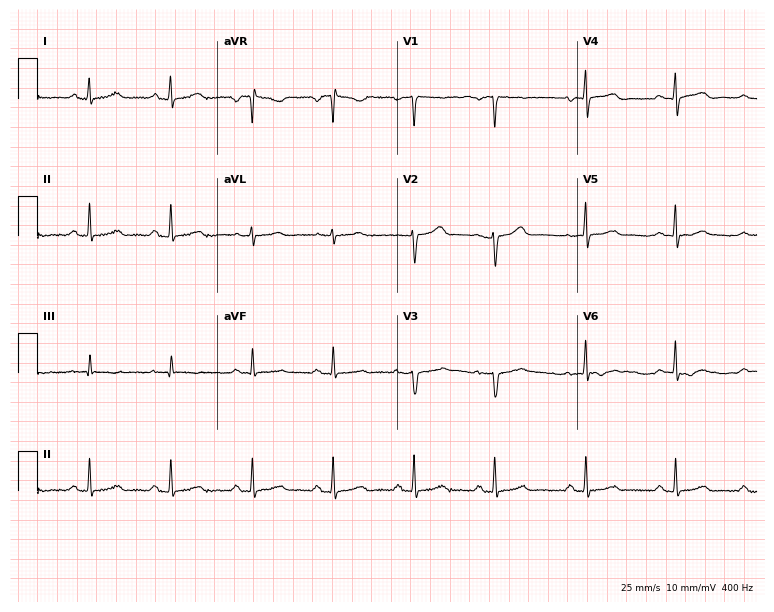
Resting 12-lead electrocardiogram. Patient: a woman, 39 years old. None of these six findings is recorded: first-degree AV block, right bundle branch block, left bundle branch block, sinus bradycardia, atrial fibrillation, sinus tachycardia. Other findings, if any, are not listed.